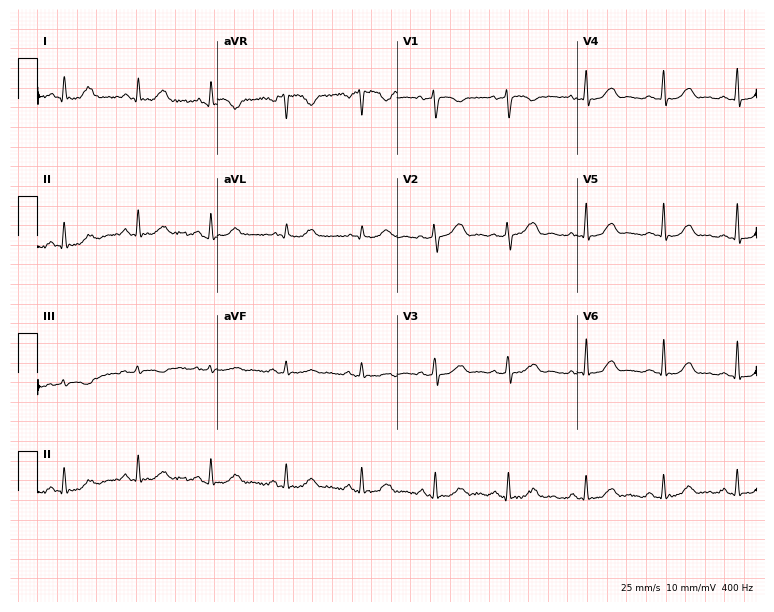
12-lead ECG (7.3-second recording at 400 Hz) from a 49-year-old female. Screened for six findings — first-degree AV block, right bundle branch block, left bundle branch block, sinus bradycardia, atrial fibrillation, sinus tachycardia — none is recorded.